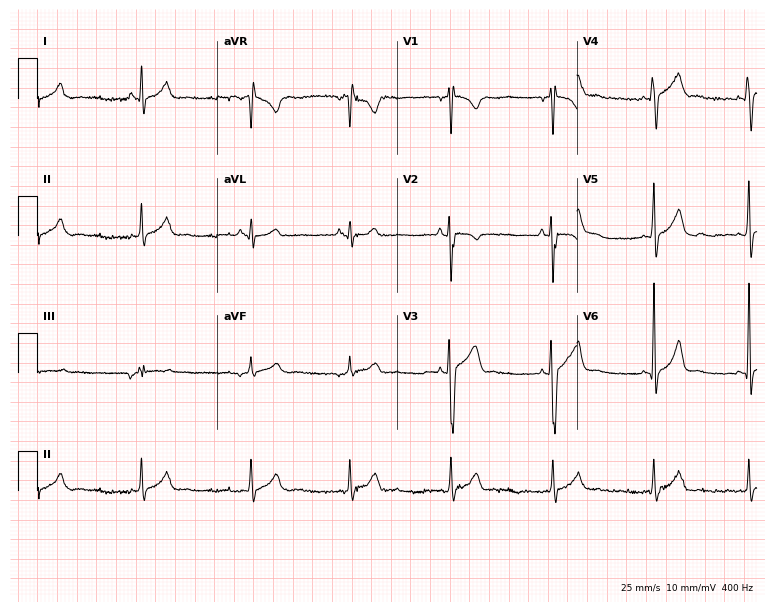
Resting 12-lead electrocardiogram. Patient: a man, 17 years old. Read as a normal ECG.